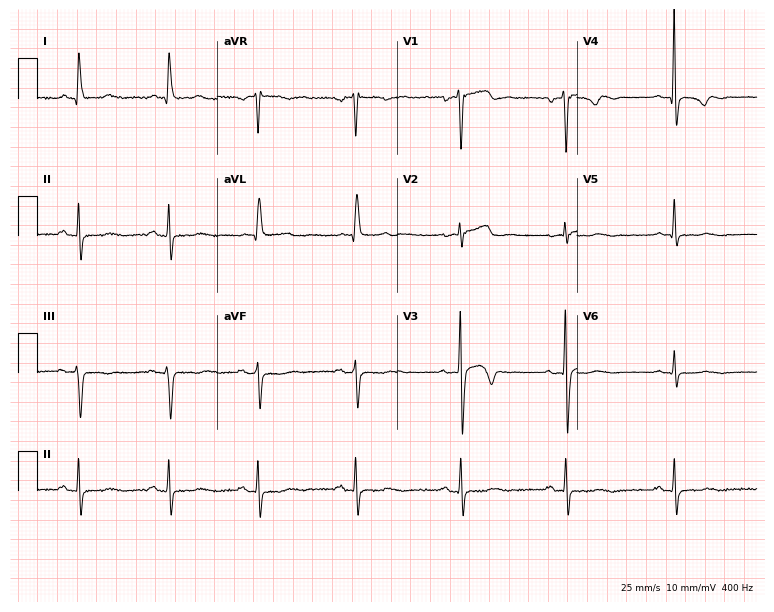
Resting 12-lead electrocardiogram. Patient: a 57-year-old male. None of these six findings is recorded: first-degree AV block, right bundle branch block, left bundle branch block, sinus bradycardia, atrial fibrillation, sinus tachycardia.